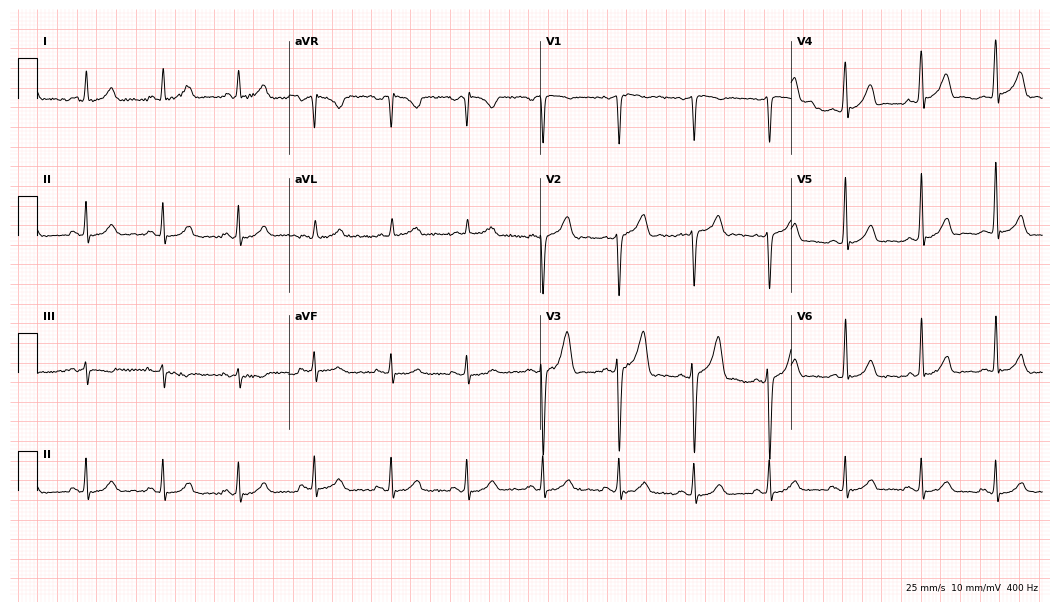
12-lead ECG from a 45-year-old male. Recorded interpretation: within normal limits.